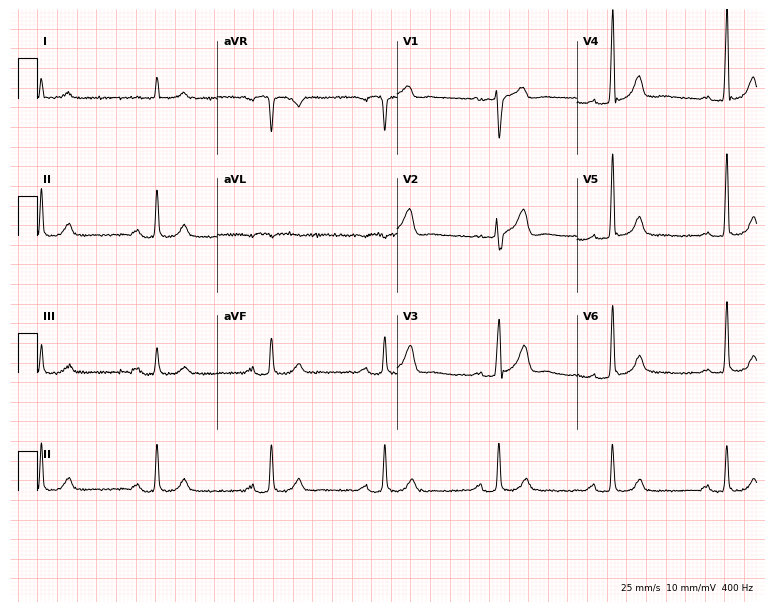
ECG — a 78-year-old male. Screened for six findings — first-degree AV block, right bundle branch block (RBBB), left bundle branch block (LBBB), sinus bradycardia, atrial fibrillation (AF), sinus tachycardia — none is recorded.